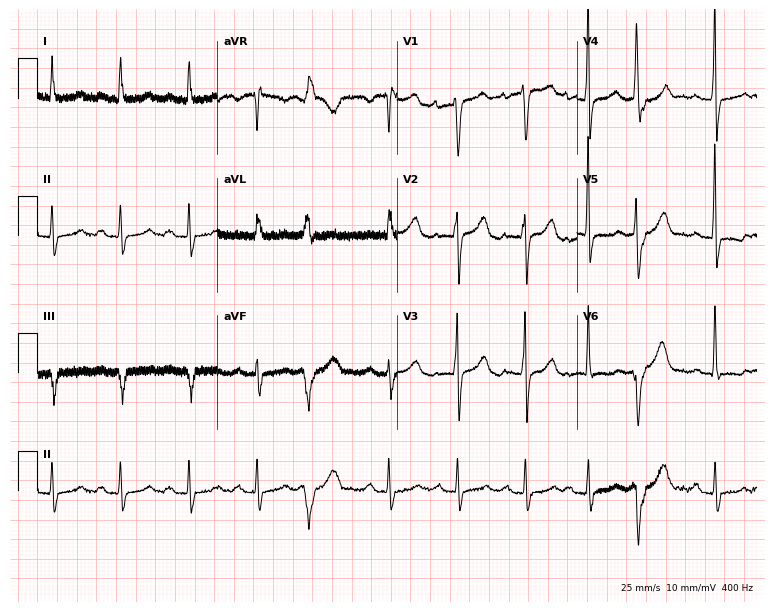
Electrocardiogram, a woman, 59 years old. Interpretation includes first-degree AV block.